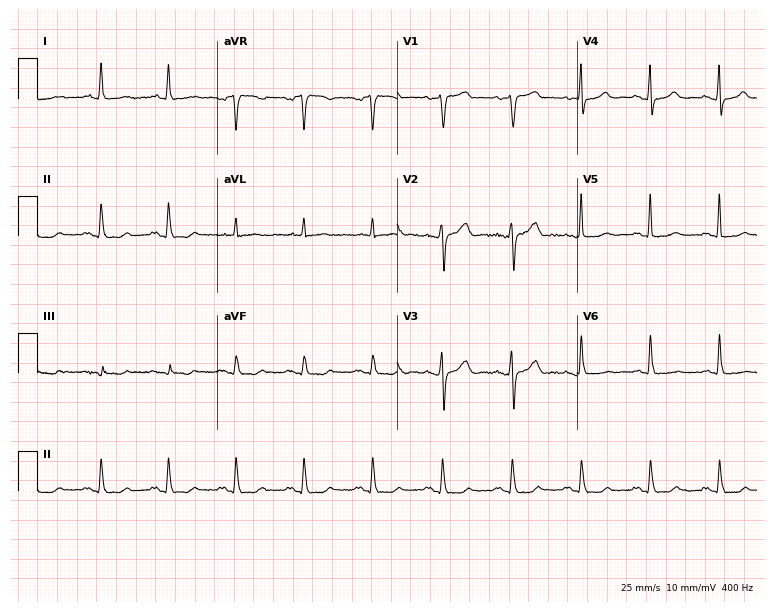
Electrocardiogram, a 56-year-old woman. Overall reading on record: normal ECG.